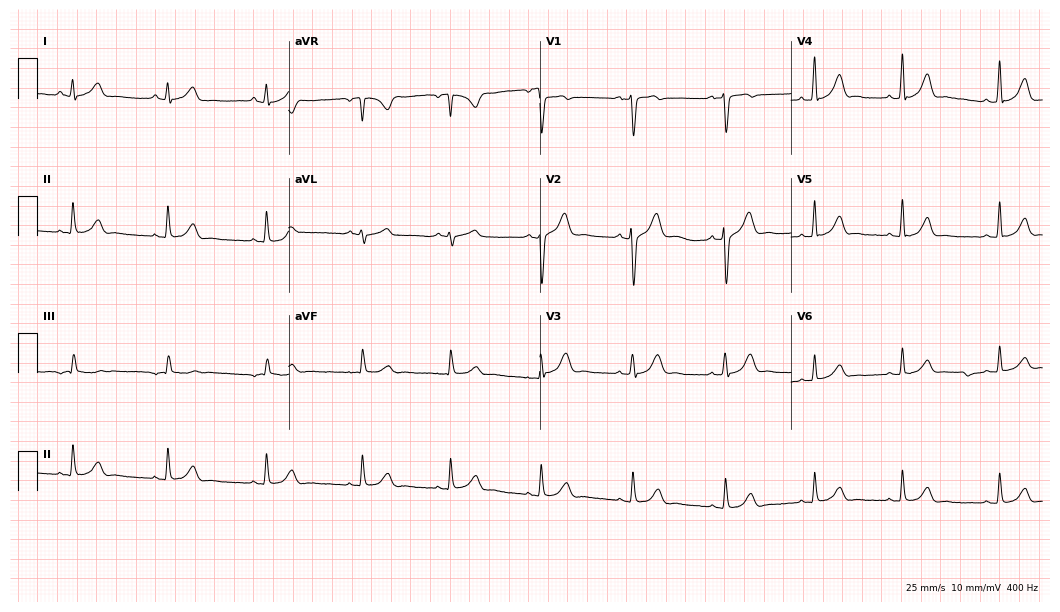
Standard 12-lead ECG recorded from a man, 30 years old (10.2-second recording at 400 Hz). Read as a normal ECG.